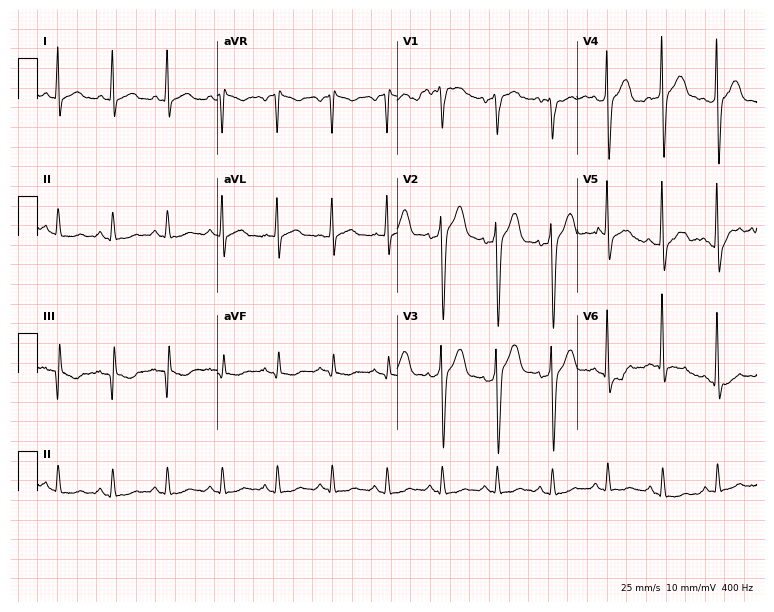
ECG — a male, 59 years old. Findings include sinus tachycardia (a sinus rate of 100 beats per minute or more).